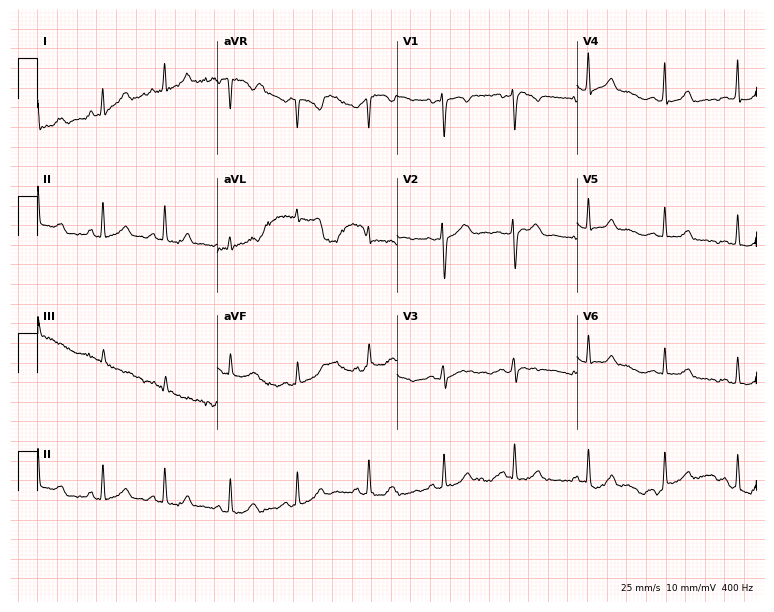
12-lead ECG from a female, 21 years old. Screened for six findings — first-degree AV block, right bundle branch block, left bundle branch block, sinus bradycardia, atrial fibrillation, sinus tachycardia — none is recorded.